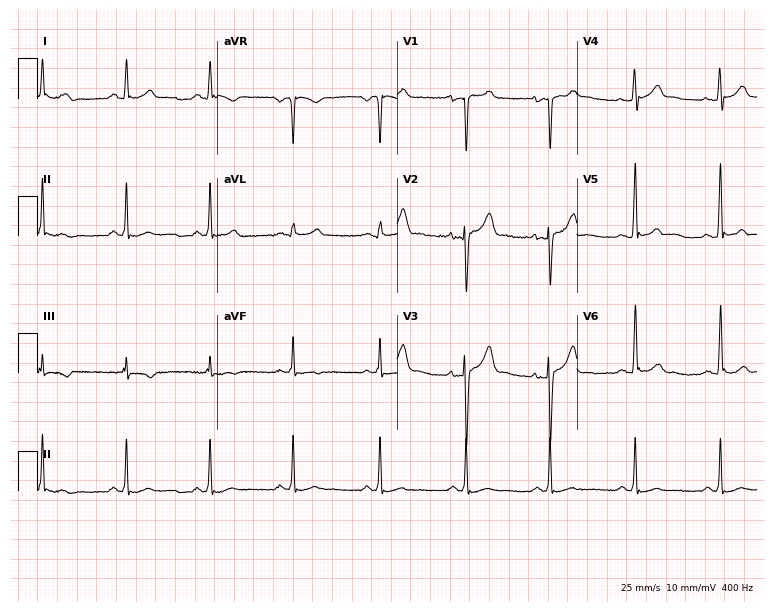
ECG — a man, 35 years old. Labelled as a normal ECG.